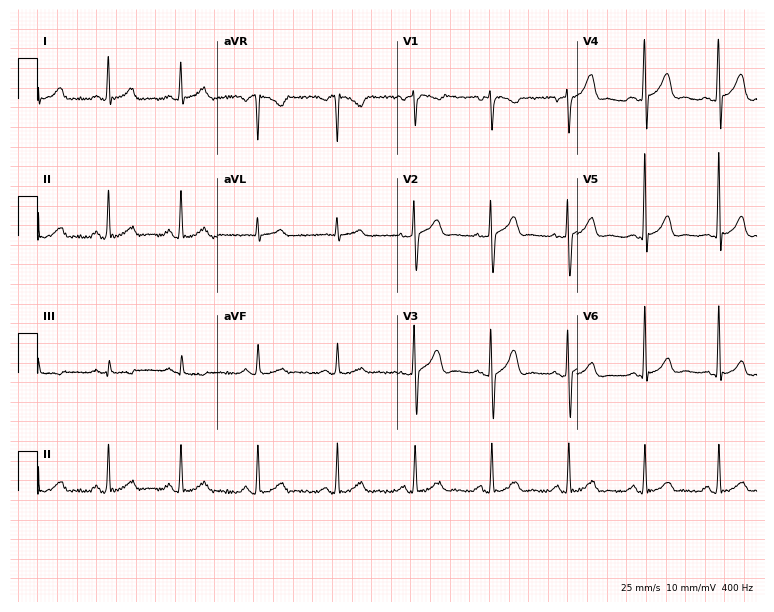
Standard 12-lead ECG recorded from a man, 48 years old (7.3-second recording at 400 Hz). Read as a normal ECG.